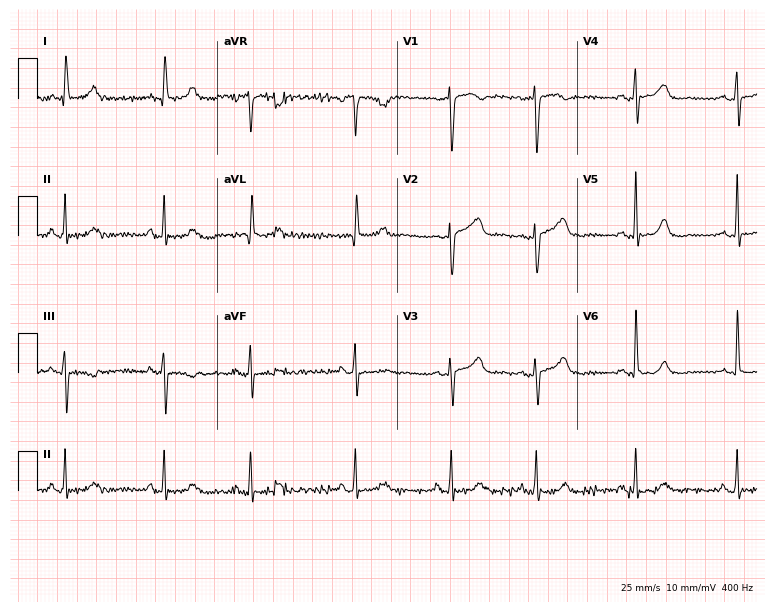
Electrocardiogram (7.3-second recording at 400 Hz), an 82-year-old female patient. Of the six screened findings (first-degree AV block, right bundle branch block (RBBB), left bundle branch block (LBBB), sinus bradycardia, atrial fibrillation (AF), sinus tachycardia), none is recorded. Findings outside these six are not listed.